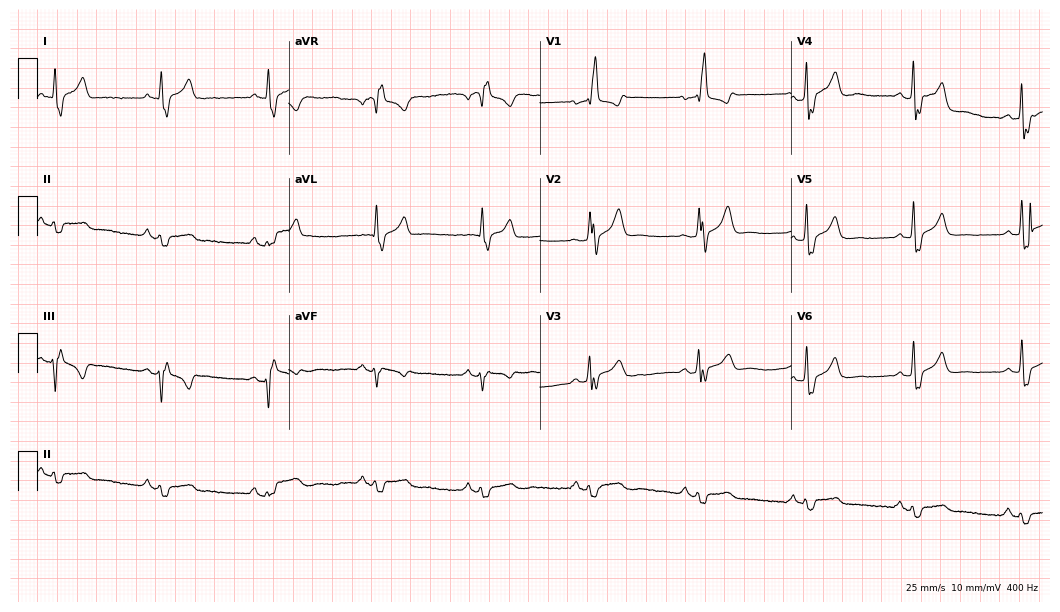
ECG (10.2-second recording at 400 Hz) — a male, 64 years old. Findings include right bundle branch block (RBBB).